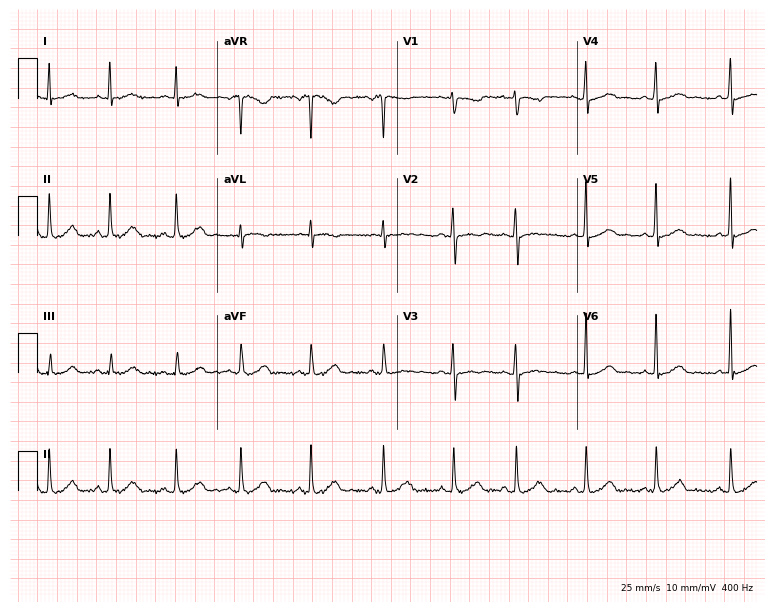
Standard 12-lead ECG recorded from a 30-year-old woman (7.3-second recording at 400 Hz). None of these six findings is recorded: first-degree AV block, right bundle branch block (RBBB), left bundle branch block (LBBB), sinus bradycardia, atrial fibrillation (AF), sinus tachycardia. Only these six findings were labelled.